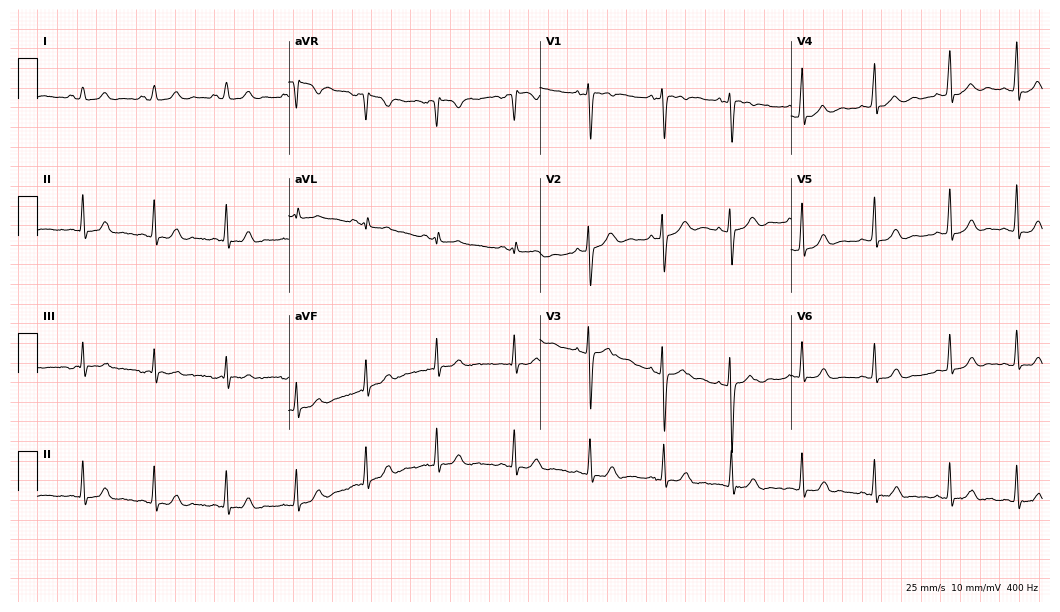
Standard 12-lead ECG recorded from a female, 19 years old. None of these six findings is recorded: first-degree AV block, right bundle branch block, left bundle branch block, sinus bradycardia, atrial fibrillation, sinus tachycardia.